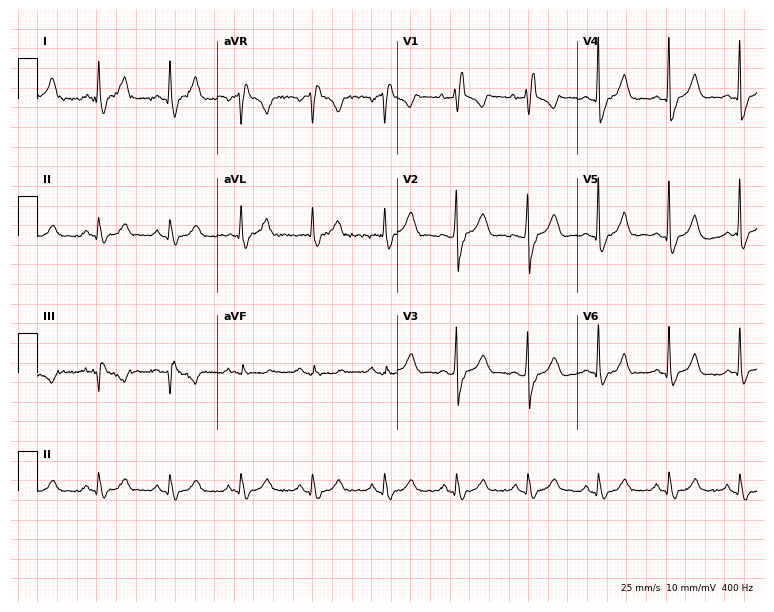
12-lead ECG (7.3-second recording at 400 Hz) from a female patient, 65 years old. Findings include right bundle branch block.